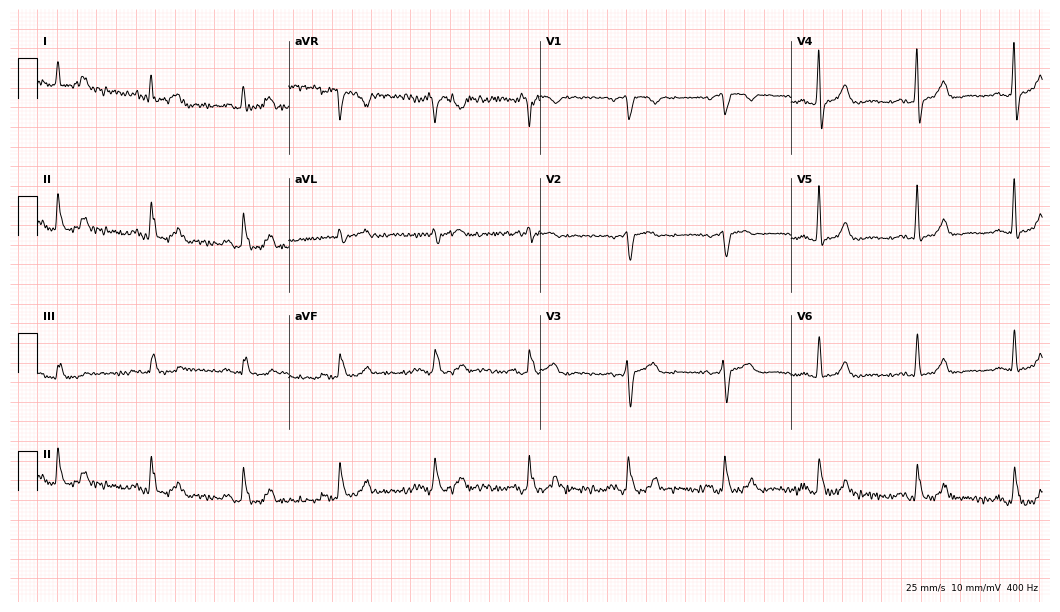
Resting 12-lead electrocardiogram (10.2-second recording at 400 Hz). Patient: a woman, 71 years old. None of these six findings is recorded: first-degree AV block, right bundle branch block, left bundle branch block, sinus bradycardia, atrial fibrillation, sinus tachycardia. Only these six findings were labelled.